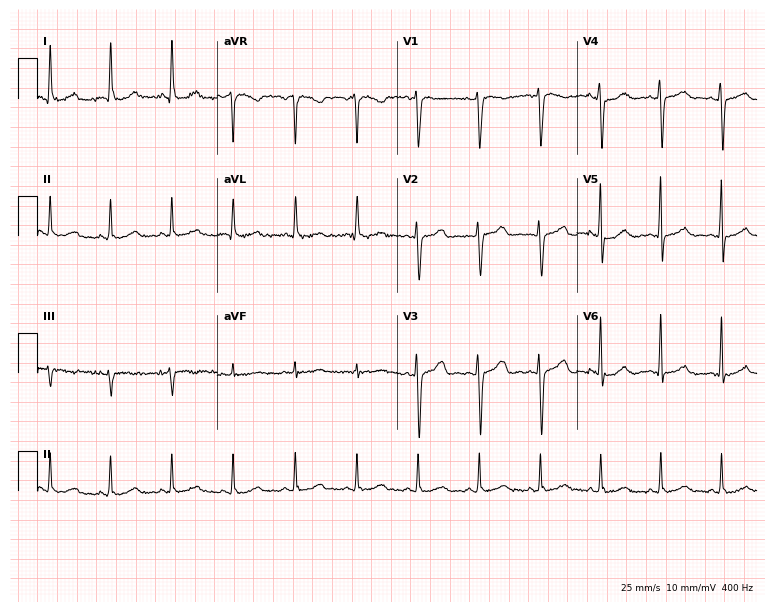
12-lead ECG from a female, 44 years old. Screened for six findings — first-degree AV block, right bundle branch block, left bundle branch block, sinus bradycardia, atrial fibrillation, sinus tachycardia — none is recorded. Other findings, if any, are not listed.